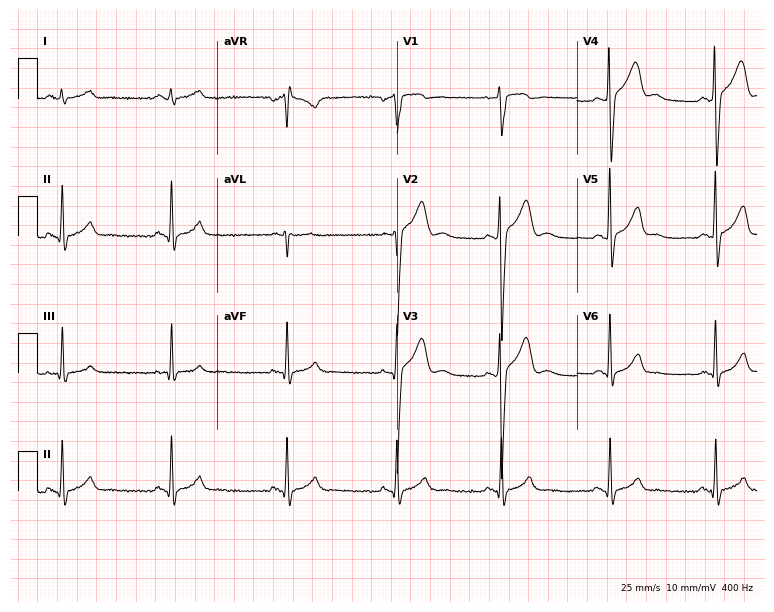
Resting 12-lead electrocardiogram (7.3-second recording at 400 Hz). Patient: a female, 36 years old. None of these six findings is recorded: first-degree AV block, right bundle branch block, left bundle branch block, sinus bradycardia, atrial fibrillation, sinus tachycardia.